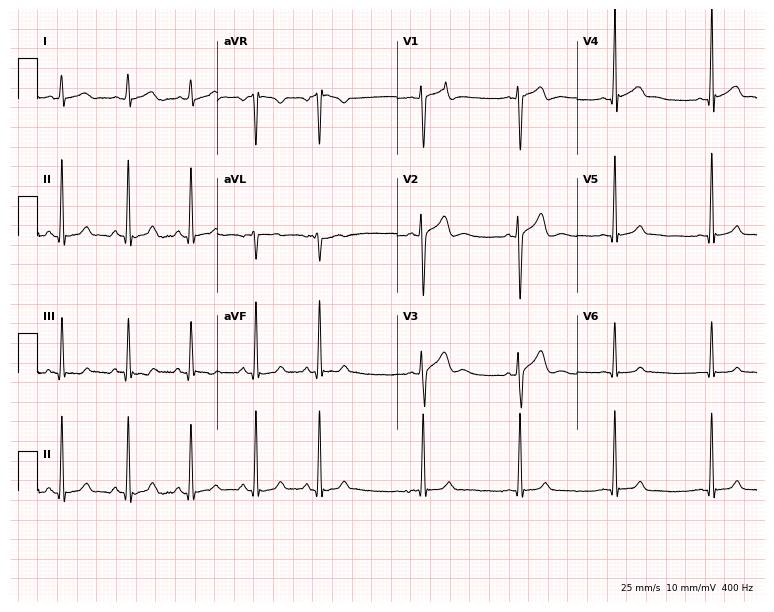
Standard 12-lead ECG recorded from a 23-year-old man (7.3-second recording at 400 Hz). None of these six findings is recorded: first-degree AV block, right bundle branch block, left bundle branch block, sinus bradycardia, atrial fibrillation, sinus tachycardia. Findings outside these six are not listed.